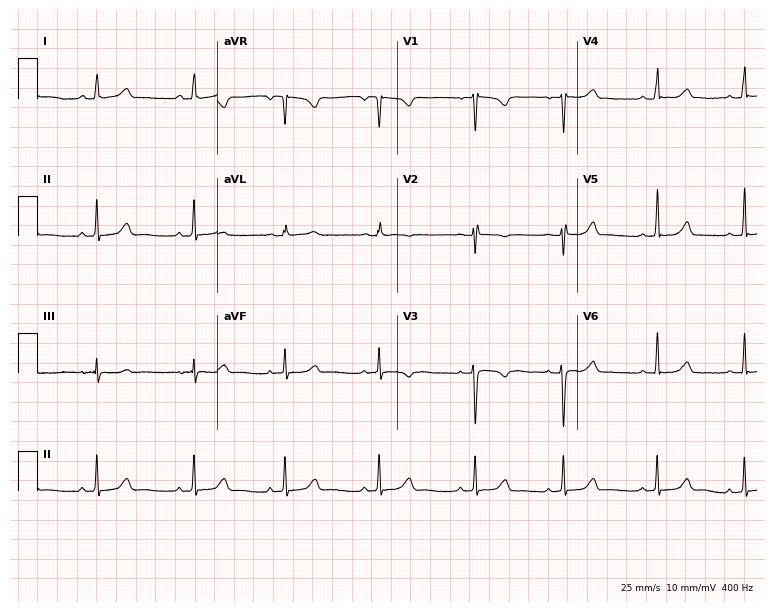
Resting 12-lead electrocardiogram (7.3-second recording at 400 Hz). Patient: a woman, 17 years old. Read as a normal ECG.